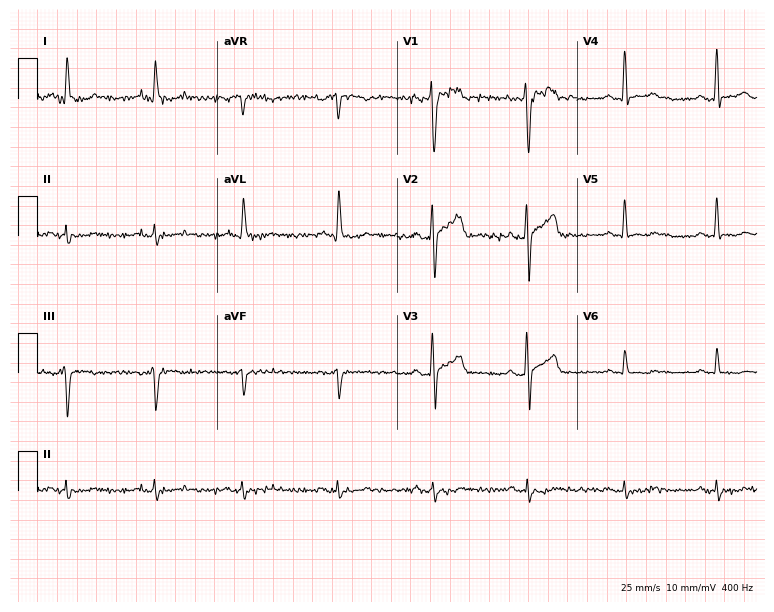
Resting 12-lead electrocardiogram. Patient: a man, 59 years old. None of these six findings is recorded: first-degree AV block, right bundle branch block, left bundle branch block, sinus bradycardia, atrial fibrillation, sinus tachycardia.